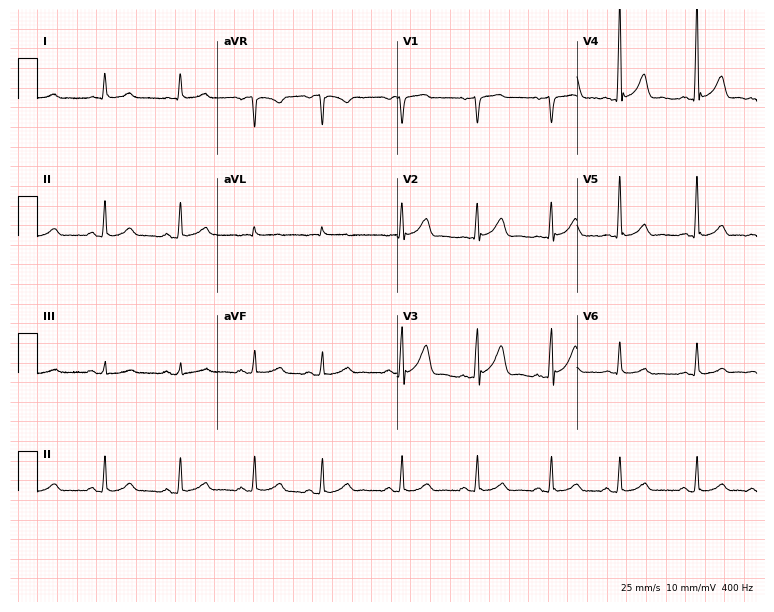
Standard 12-lead ECG recorded from a male, 51 years old (7.3-second recording at 400 Hz). None of these six findings is recorded: first-degree AV block, right bundle branch block, left bundle branch block, sinus bradycardia, atrial fibrillation, sinus tachycardia. Findings outside these six are not listed.